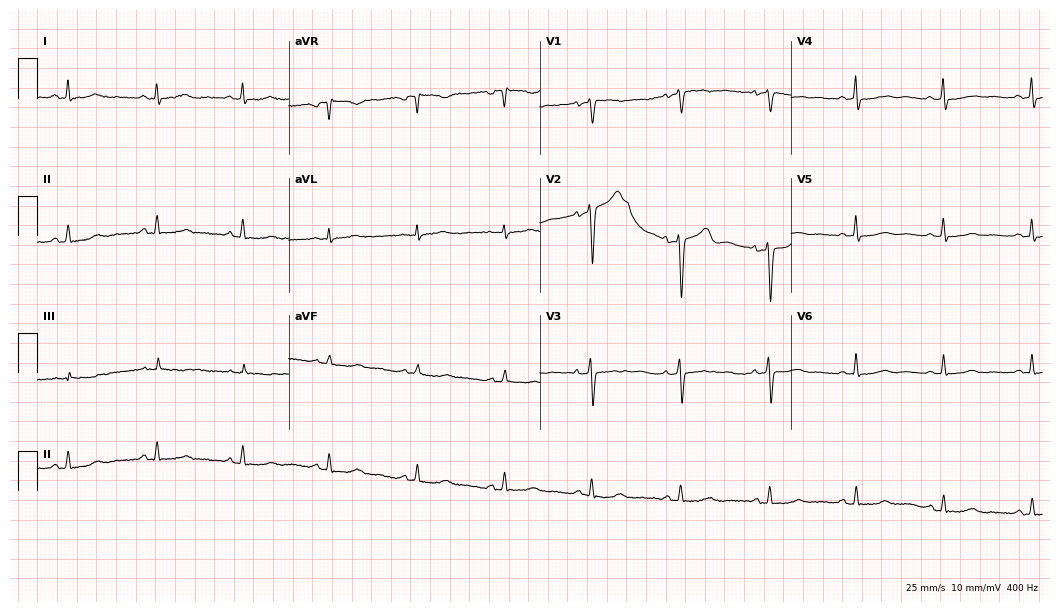
Resting 12-lead electrocardiogram (10.2-second recording at 400 Hz). Patient: a female, 48 years old. None of these six findings is recorded: first-degree AV block, right bundle branch block (RBBB), left bundle branch block (LBBB), sinus bradycardia, atrial fibrillation (AF), sinus tachycardia.